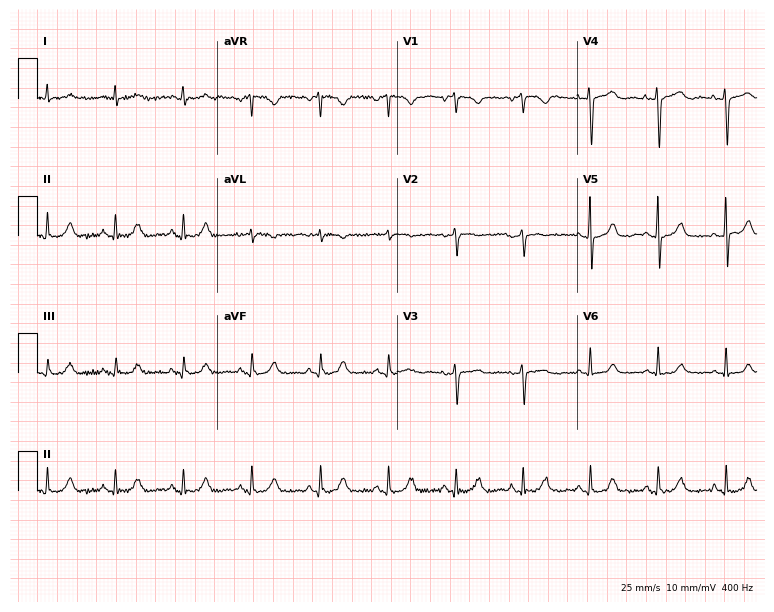
Resting 12-lead electrocardiogram (7.3-second recording at 400 Hz). Patient: a female, 80 years old. Read as a normal ECG.